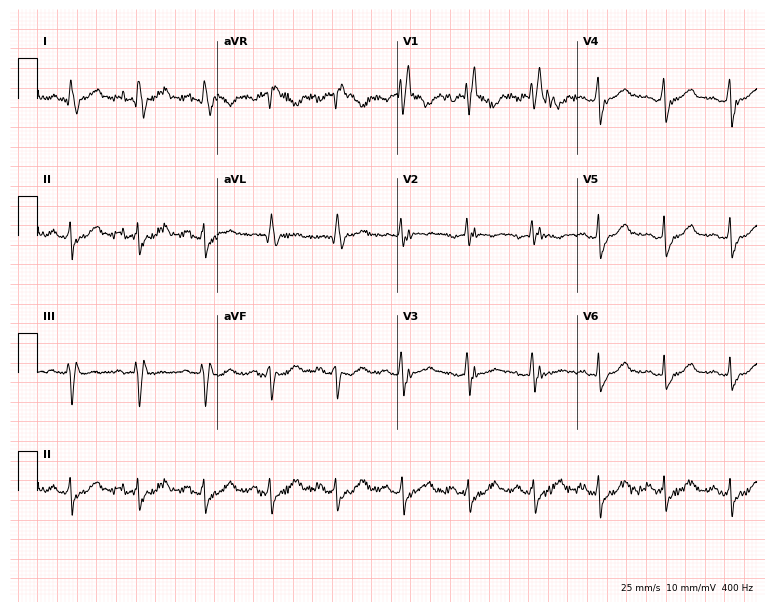
12-lead ECG from a 46-year-old man. Shows right bundle branch block.